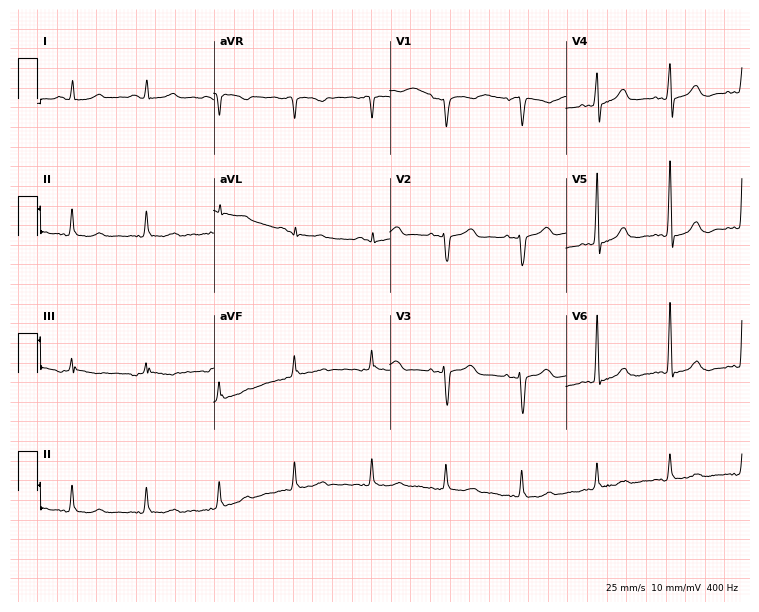
Resting 12-lead electrocardiogram. Patient: a 50-year-old female. Read as a normal ECG.